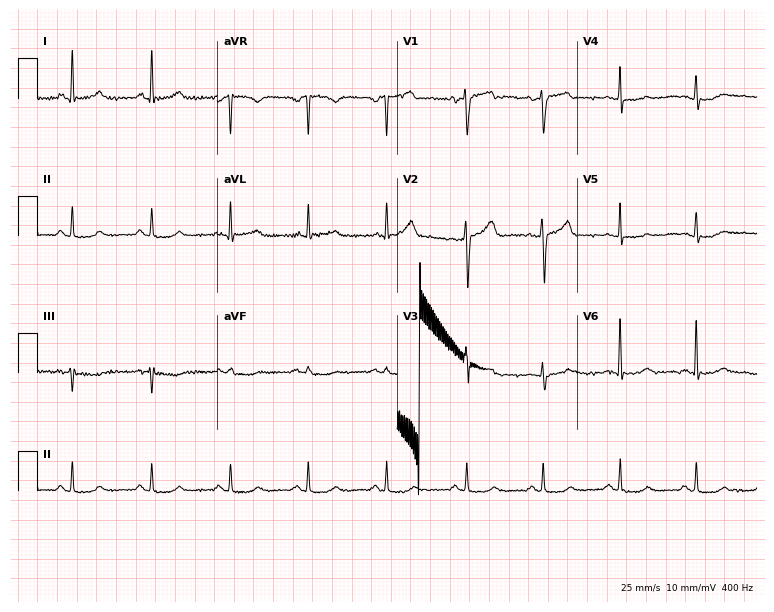
Resting 12-lead electrocardiogram (7.3-second recording at 400 Hz). Patient: a 59-year-old woman. Read as a normal ECG.